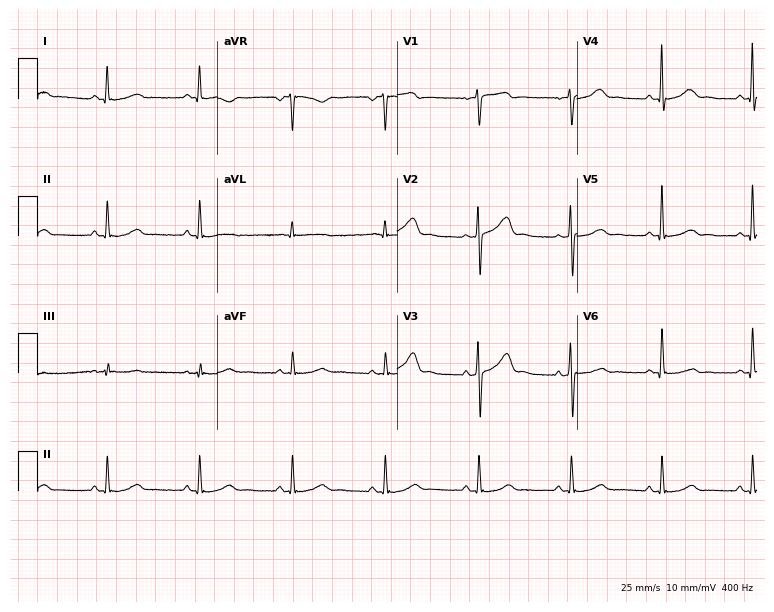
ECG (7.3-second recording at 400 Hz) — a woman, 57 years old. Labelled as a normal ECG.